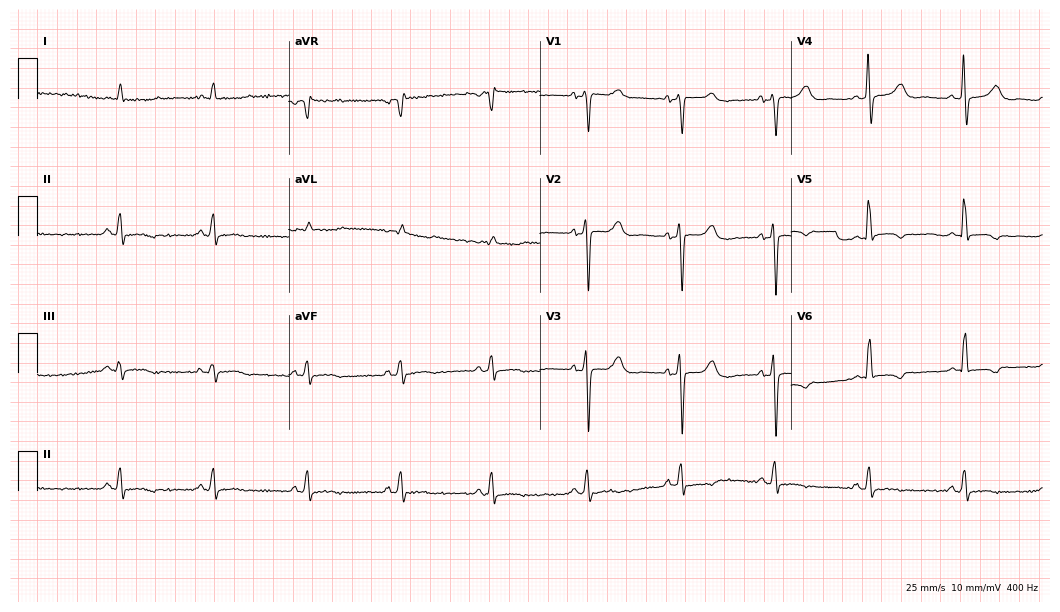
12-lead ECG (10.2-second recording at 400 Hz) from an 84-year-old female. Screened for six findings — first-degree AV block, right bundle branch block (RBBB), left bundle branch block (LBBB), sinus bradycardia, atrial fibrillation (AF), sinus tachycardia — none is recorded.